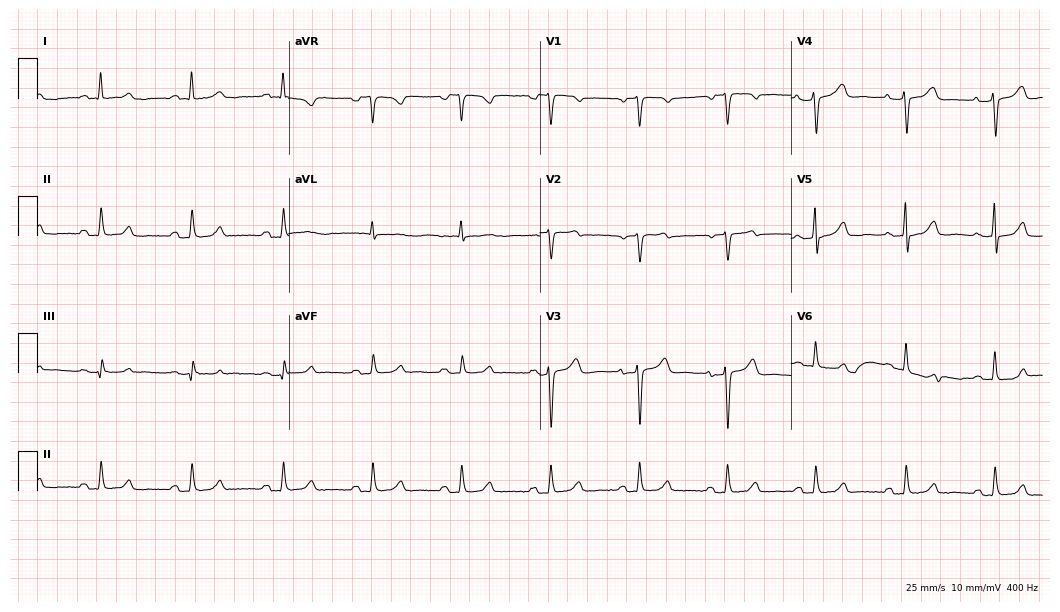
Resting 12-lead electrocardiogram. Patient: a 68-year-old woman. Read as a normal ECG.